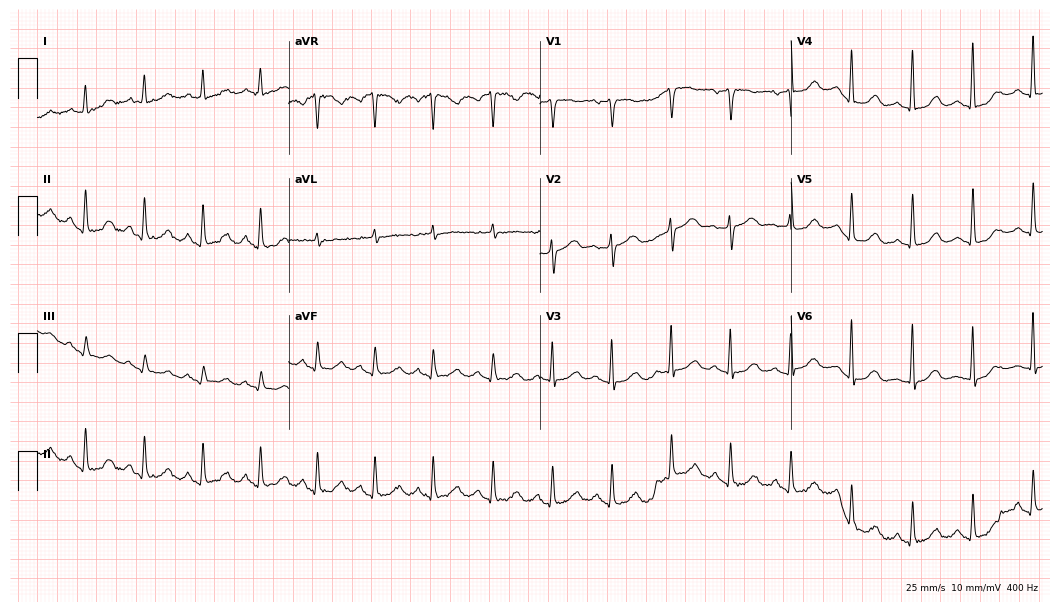
12-lead ECG from a woman, 63 years old. No first-degree AV block, right bundle branch block (RBBB), left bundle branch block (LBBB), sinus bradycardia, atrial fibrillation (AF) or sinus tachycardia recorded for this tracing. Only these six findings were labelled.